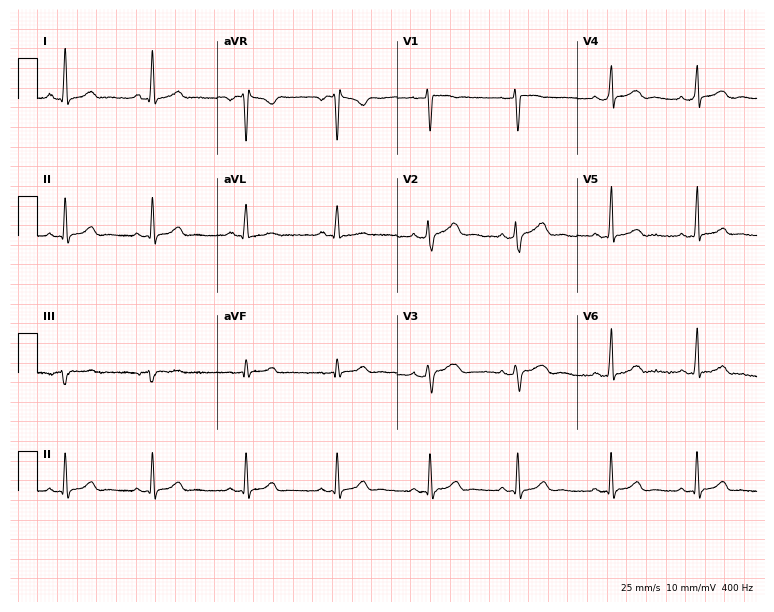
ECG (7.3-second recording at 400 Hz) — a 22-year-old woman. Labelled as a normal ECG.